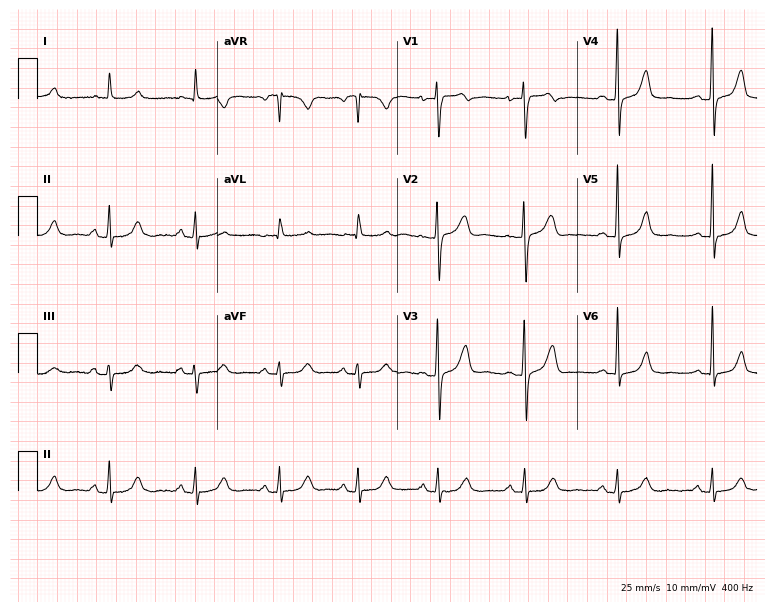
12-lead ECG (7.3-second recording at 400 Hz) from a 65-year-old woman. Screened for six findings — first-degree AV block, right bundle branch block, left bundle branch block, sinus bradycardia, atrial fibrillation, sinus tachycardia — none is recorded. Only these six findings were labelled.